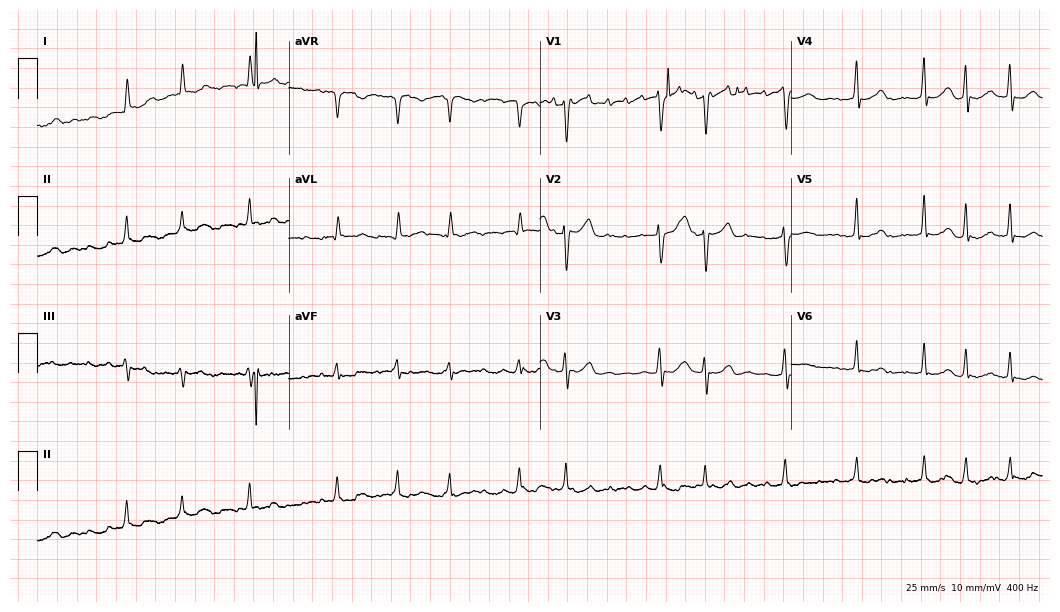
12-lead ECG (10.2-second recording at 400 Hz) from a 73-year-old female. Findings include atrial fibrillation (AF).